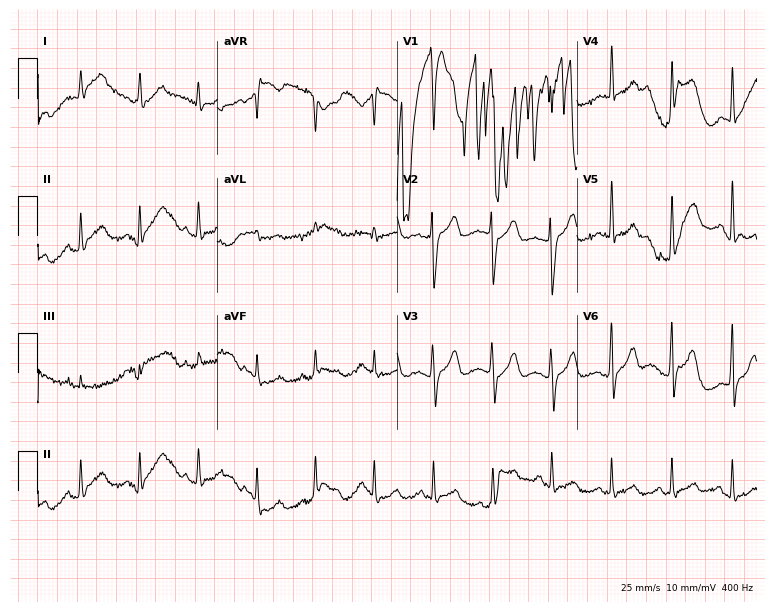
12-lead ECG (7.3-second recording at 400 Hz) from a man, 27 years old. Screened for six findings — first-degree AV block, right bundle branch block, left bundle branch block, sinus bradycardia, atrial fibrillation, sinus tachycardia — none is recorded. Only these six findings were labelled.